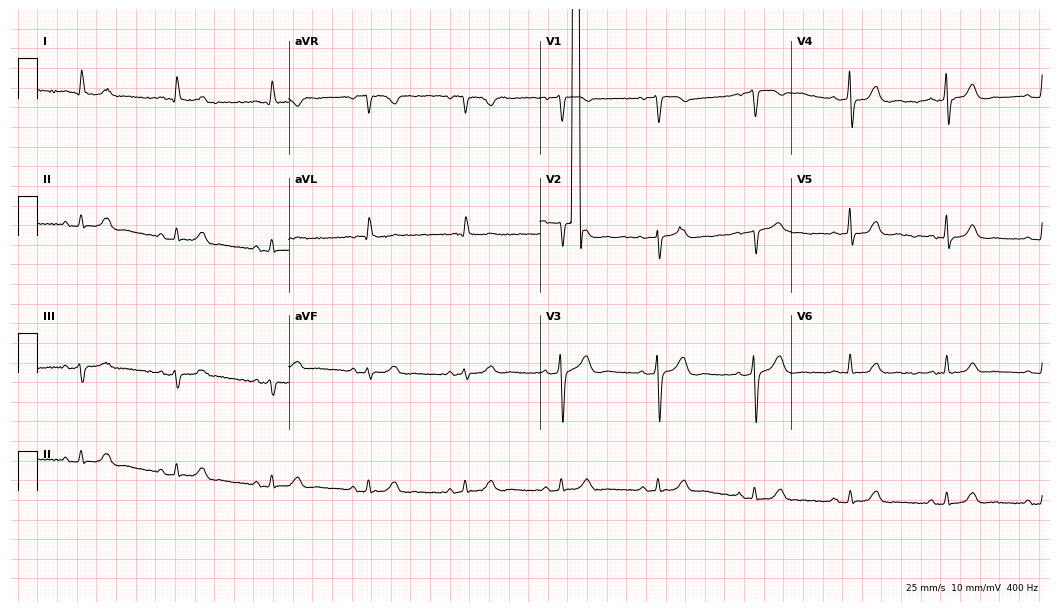
12-lead ECG (10.2-second recording at 400 Hz) from a female, 84 years old. Labelled as a normal ECG.